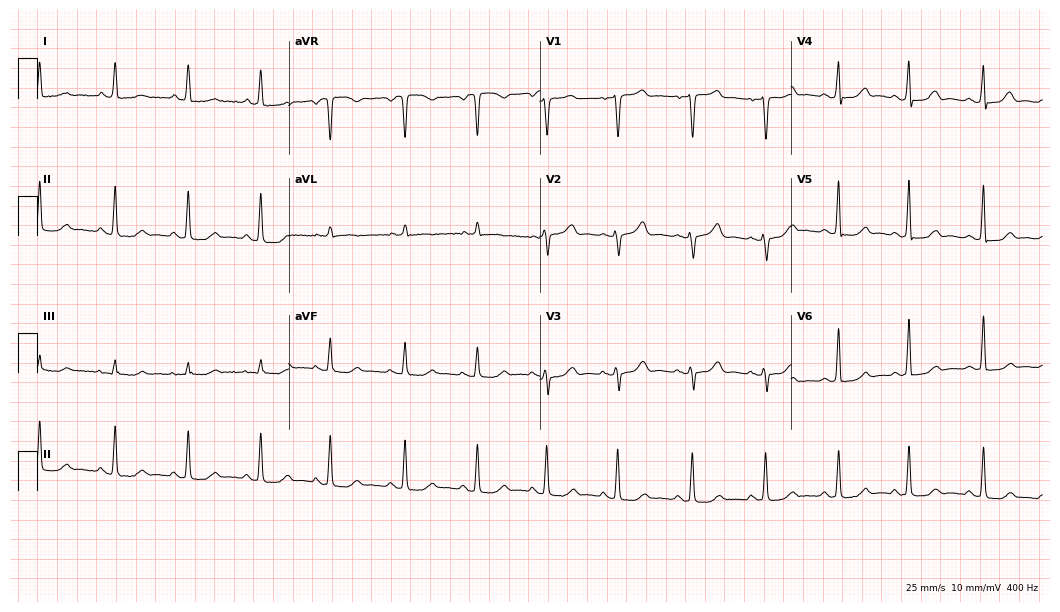
Standard 12-lead ECG recorded from a female patient, 76 years old. Read as a normal ECG.